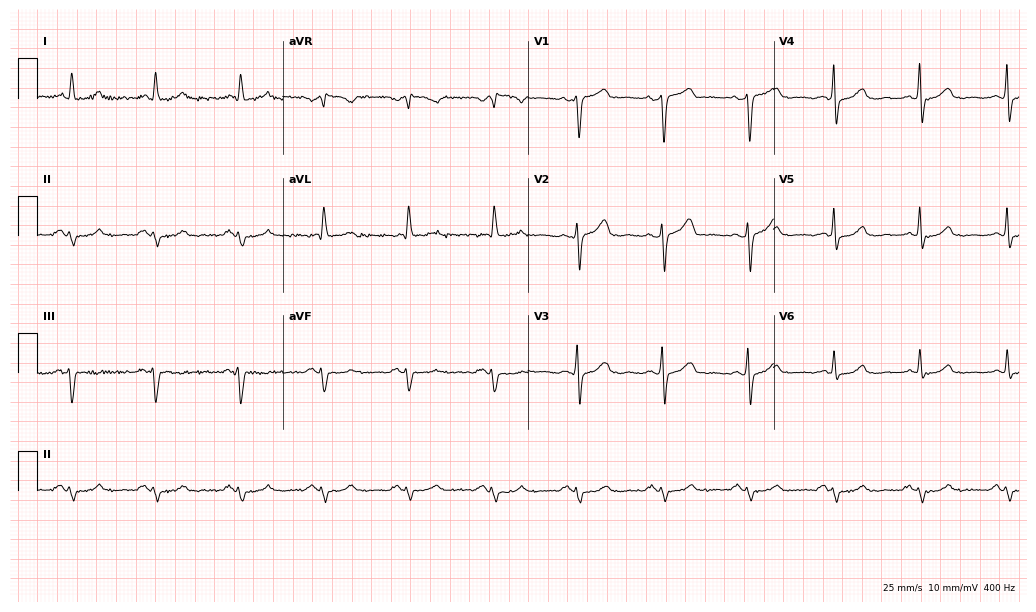
Resting 12-lead electrocardiogram (10-second recording at 400 Hz). Patient: a 56-year-old male. None of these six findings is recorded: first-degree AV block, right bundle branch block (RBBB), left bundle branch block (LBBB), sinus bradycardia, atrial fibrillation (AF), sinus tachycardia.